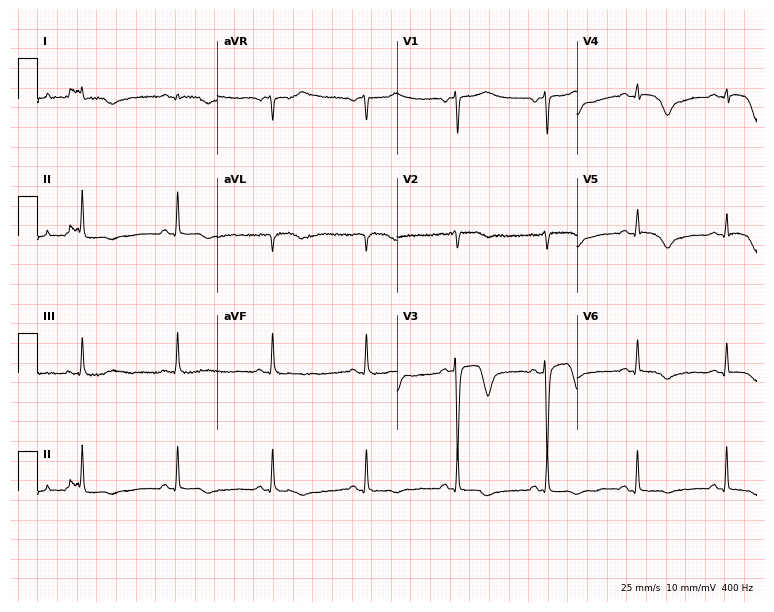
ECG (7.3-second recording at 400 Hz) — a 44-year-old male. Screened for six findings — first-degree AV block, right bundle branch block, left bundle branch block, sinus bradycardia, atrial fibrillation, sinus tachycardia — none is recorded.